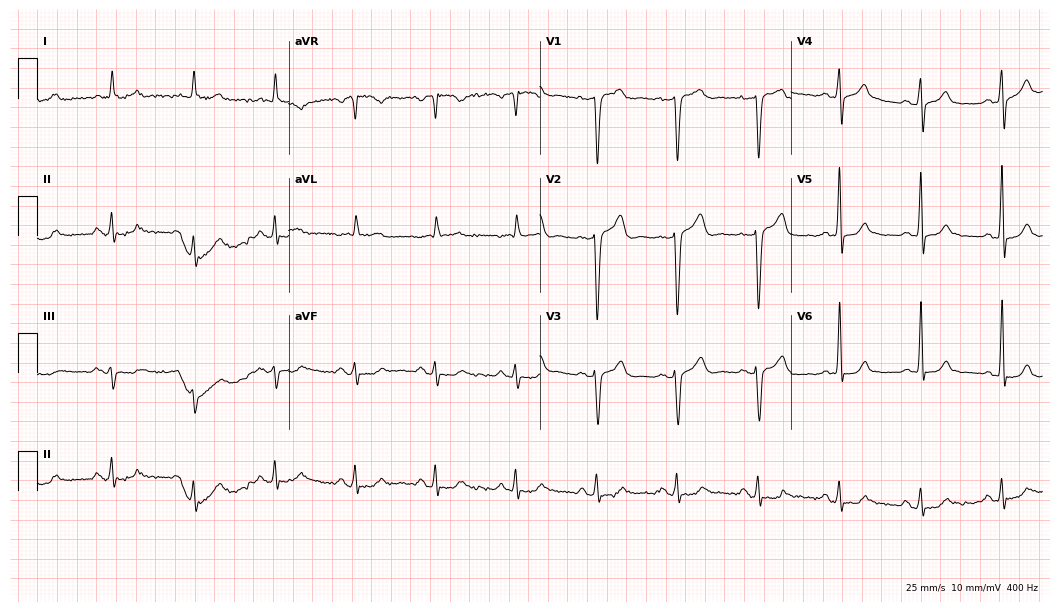
Electrocardiogram (10.2-second recording at 400 Hz), a 77-year-old male patient. Overall reading on record: normal ECG.